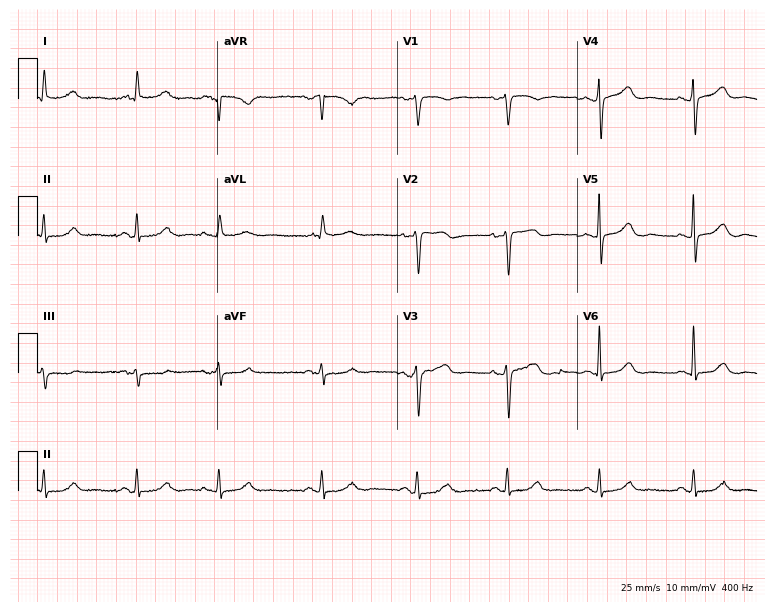
ECG — a 76-year-old woman. Screened for six findings — first-degree AV block, right bundle branch block, left bundle branch block, sinus bradycardia, atrial fibrillation, sinus tachycardia — none is recorded.